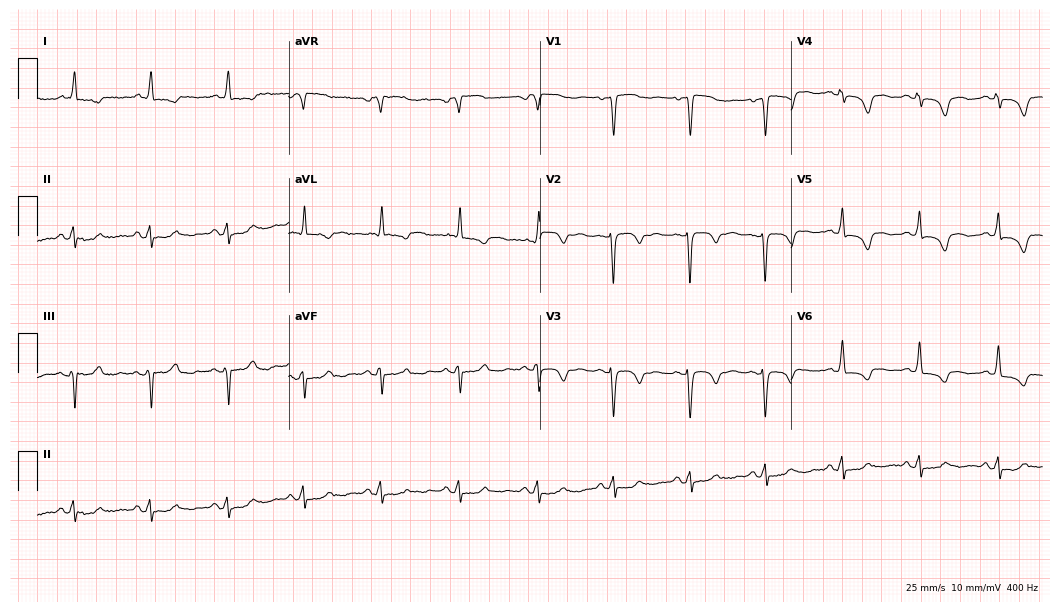
Standard 12-lead ECG recorded from a female patient, 66 years old. None of these six findings is recorded: first-degree AV block, right bundle branch block (RBBB), left bundle branch block (LBBB), sinus bradycardia, atrial fibrillation (AF), sinus tachycardia.